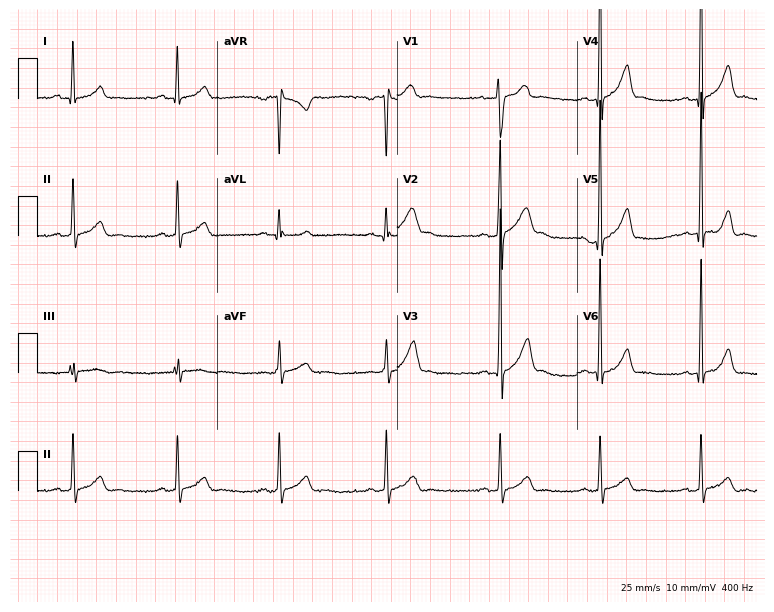
Resting 12-lead electrocardiogram. Patient: an 18-year-old male. Read as a normal ECG.